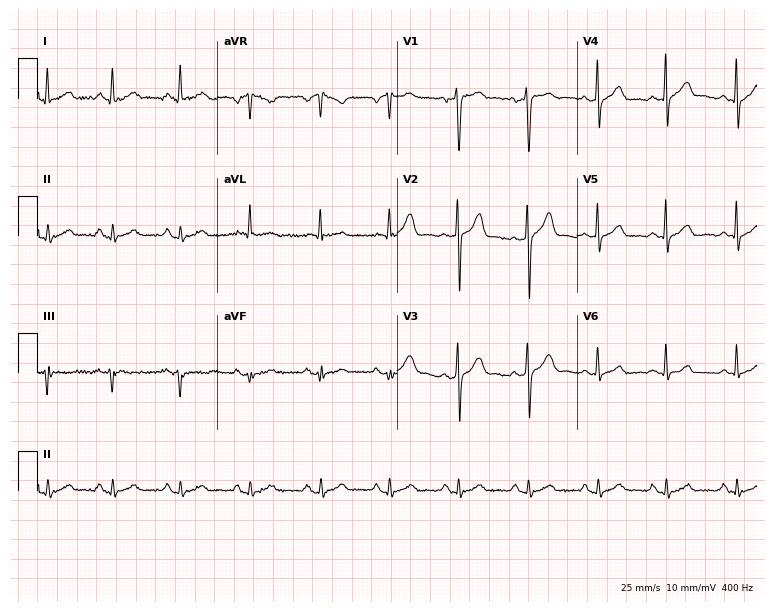
Standard 12-lead ECG recorded from a 51-year-old man. Read as a normal ECG.